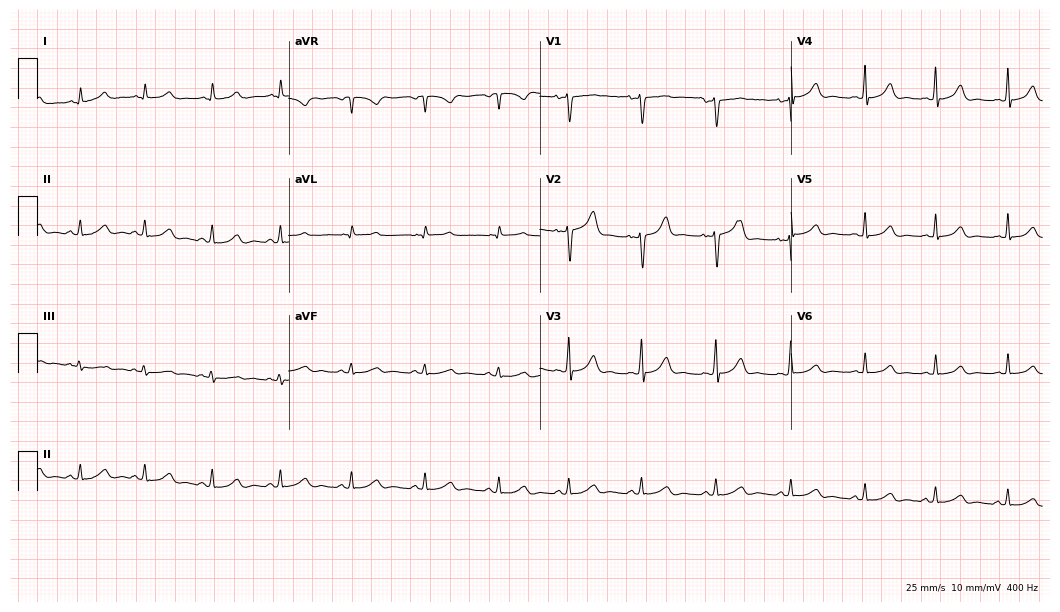
12-lead ECG from a female patient, 24 years old. No first-degree AV block, right bundle branch block (RBBB), left bundle branch block (LBBB), sinus bradycardia, atrial fibrillation (AF) or sinus tachycardia recorded for this tracing.